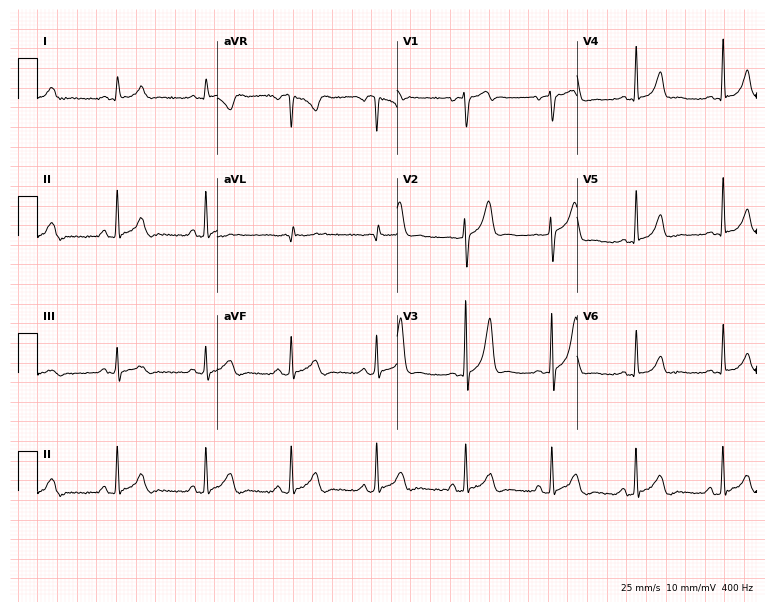
12-lead ECG from a man, 19 years old (7.3-second recording at 400 Hz). No first-degree AV block, right bundle branch block, left bundle branch block, sinus bradycardia, atrial fibrillation or sinus tachycardia recorded for this tracing.